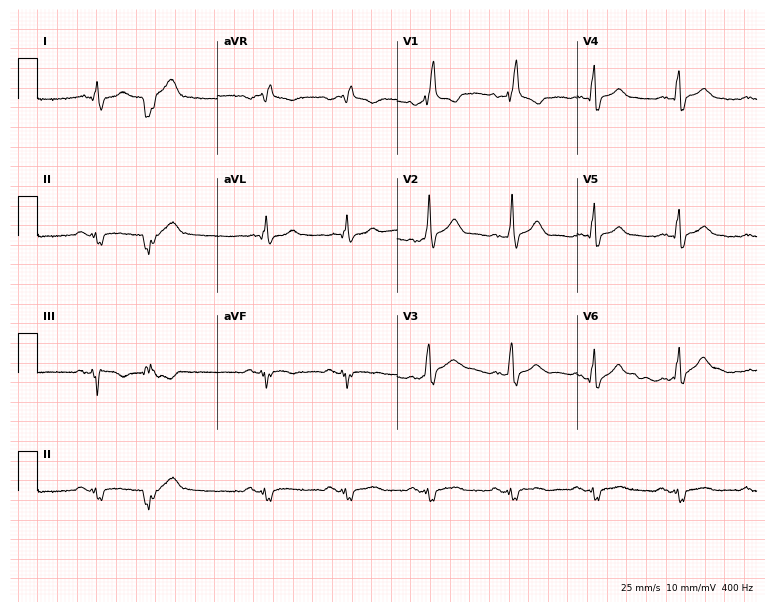
ECG — a 70-year-old male patient. Screened for six findings — first-degree AV block, right bundle branch block (RBBB), left bundle branch block (LBBB), sinus bradycardia, atrial fibrillation (AF), sinus tachycardia — none is recorded.